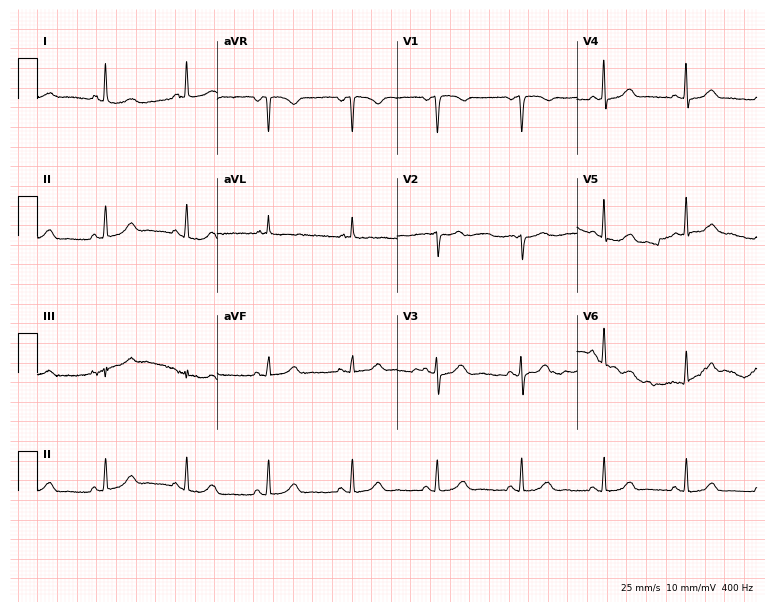
12-lead ECG from a female, 62 years old (7.3-second recording at 400 Hz). Recorded interpretation: within normal limits.